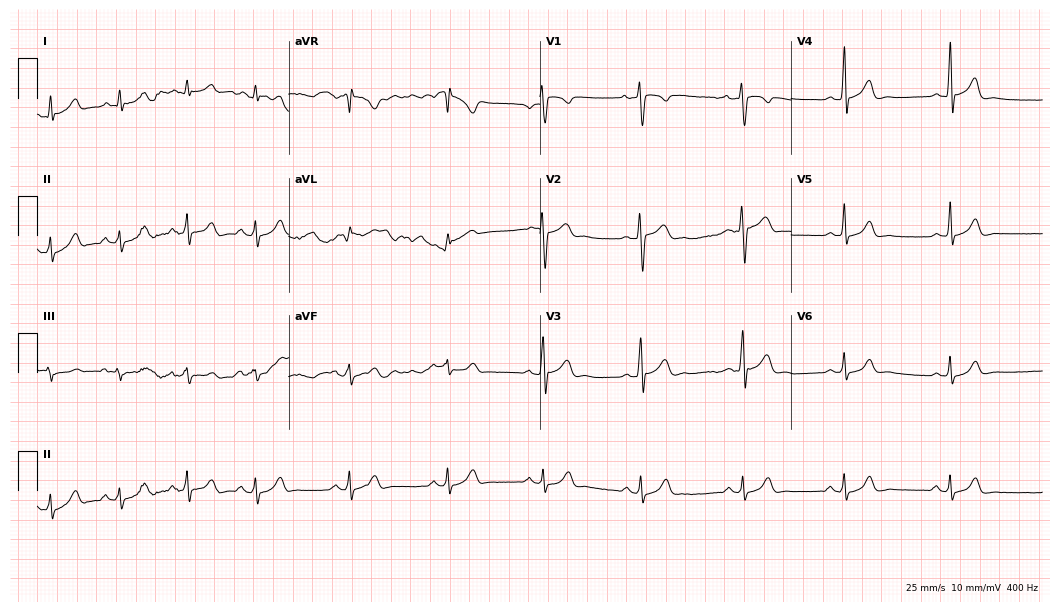
Standard 12-lead ECG recorded from a male patient, 29 years old. Read as a normal ECG.